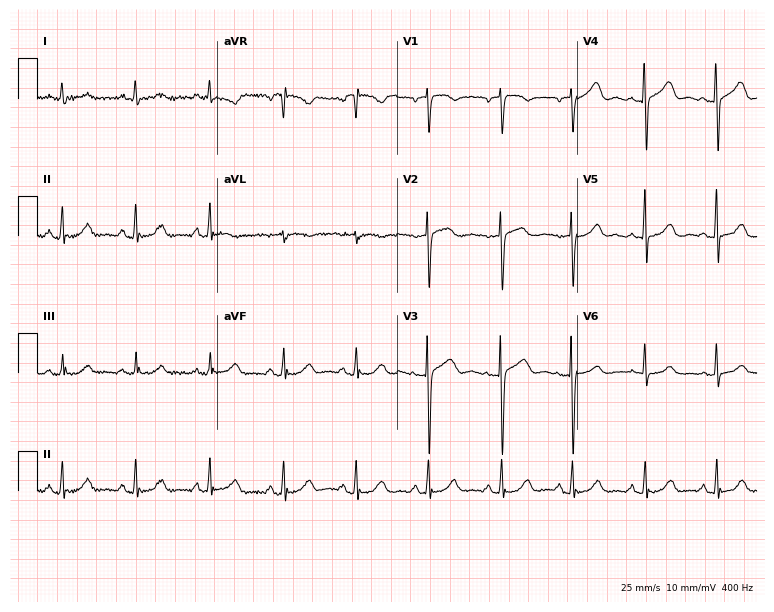
Electrocardiogram (7.3-second recording at 400 Hz), a female patient, 62 years old. Of the six screened findings (first-degree AV block, right bundle branch block, left bundle branch block, sinus bradycardia, atrial fibrillation, sinus tachycardia), none is recorded.